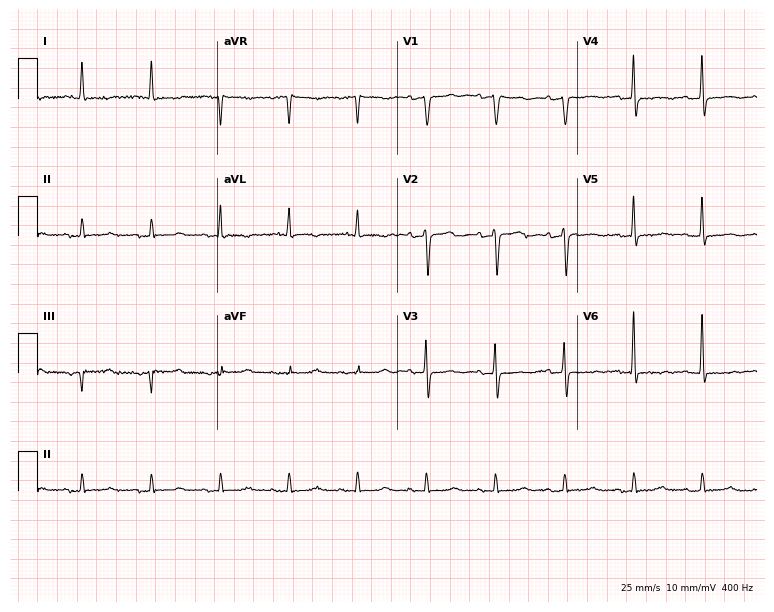
ECG (7.3-second recording at 400 Hz) — a 74-year-old woman. Screened for six findings — first-degree AV block, right bundle branch block (RBBB), left bundle branch block (LBBB), sinus bradycardia, atrial fibrillation (AF), sinus tachycardia — none is recorded.